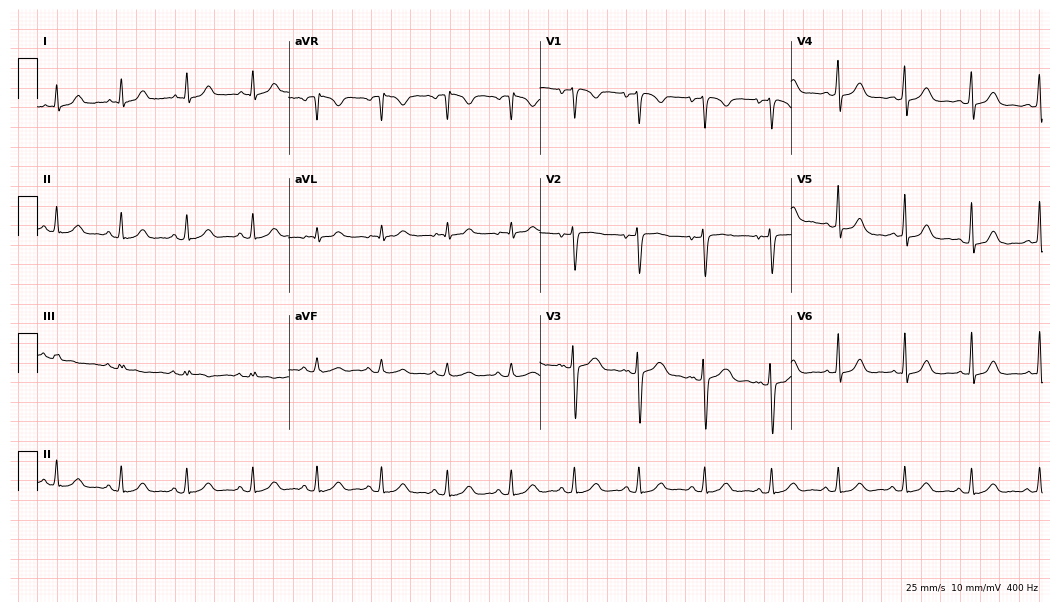
12-lead ECG (10.2-second recording at 400 Hz) from a 30-year-old female patient. Screened for six findings — first-degree AV block, right bundle branch block, left bundle branch block, sinus bradycardia, atrial fibrillation, sinus tachycardia — none is recorded.